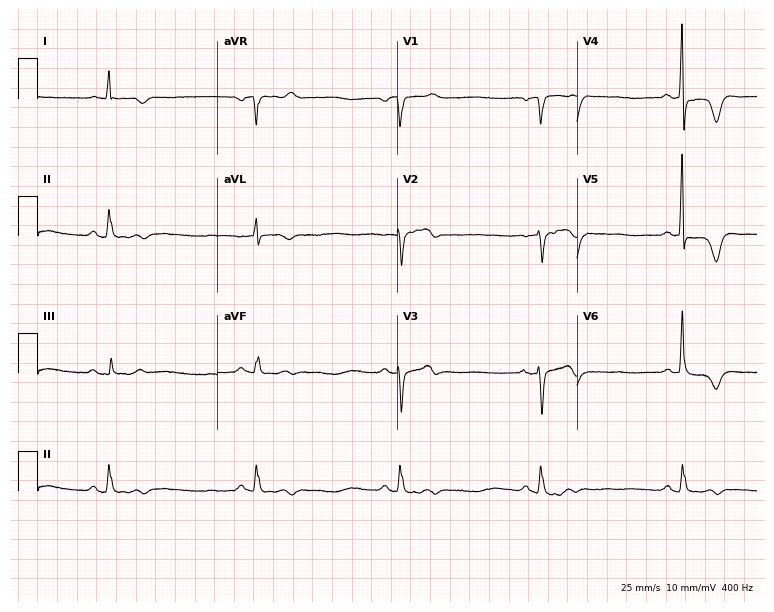
Resting 12-lead electrocardiogram. Patient: a 71-year-old male. None of these six findings is recorded: first-degree AV block, right bundle branch block, left bundle branch block, sinus bradycardia, atrial fibrillation, sinus tachycardia.